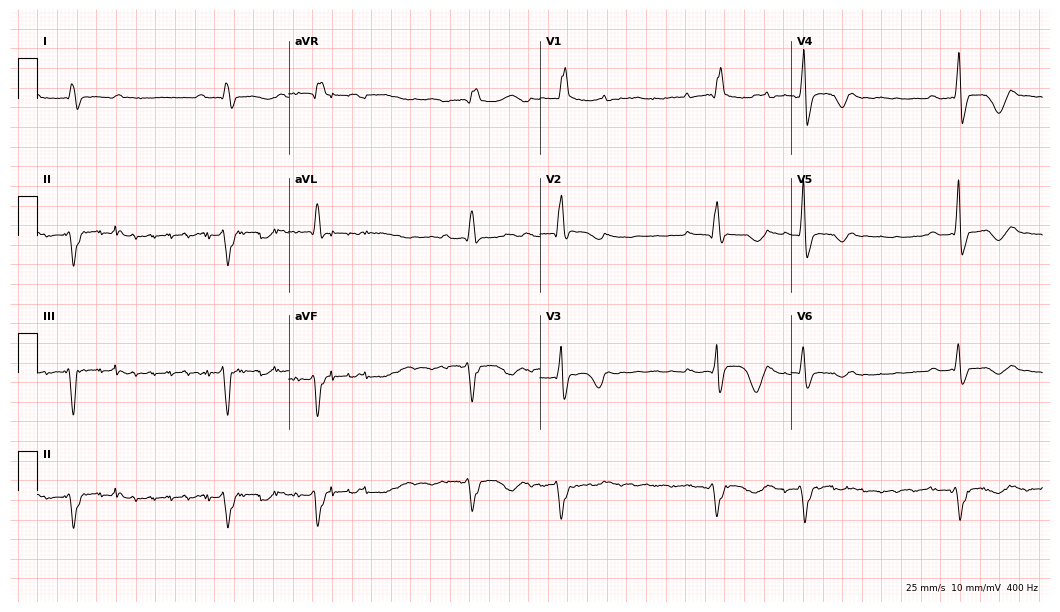
Resting 12-lead electrocardiogram. Patient: a 50-year-old female. The tracing shows first-degree AV block, right bundle branch block.